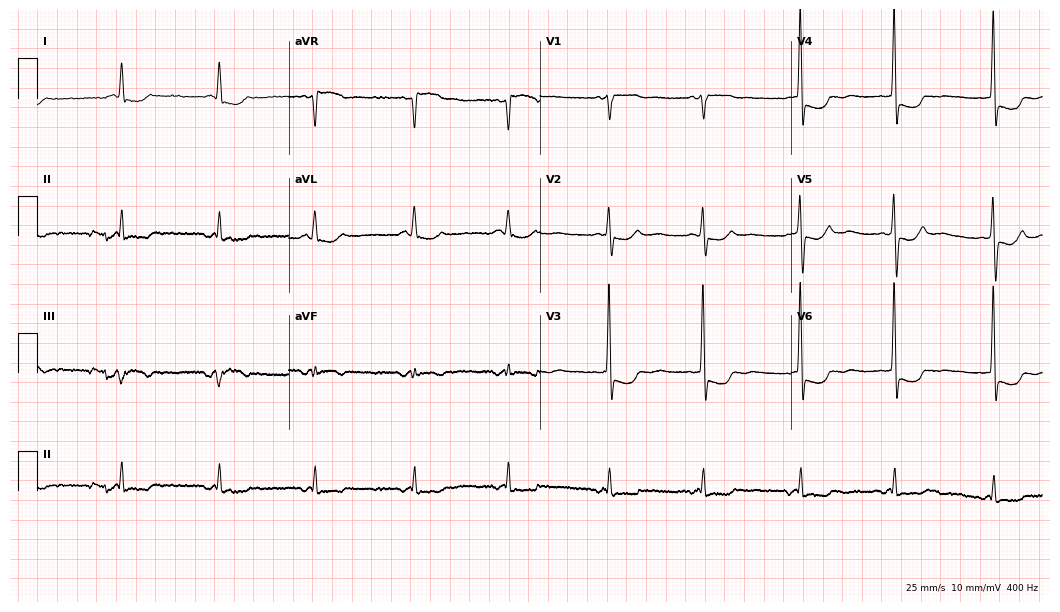
Standard 12-lead ECG recorded from a 77-year-old female (10.2-second recording at 400 Hz). None of these six findings is recorded: first-degree AV block, right bundle branch block, left bundle branch block, sinus bradycardia, atrial fibrillation, sinus tachycardia.